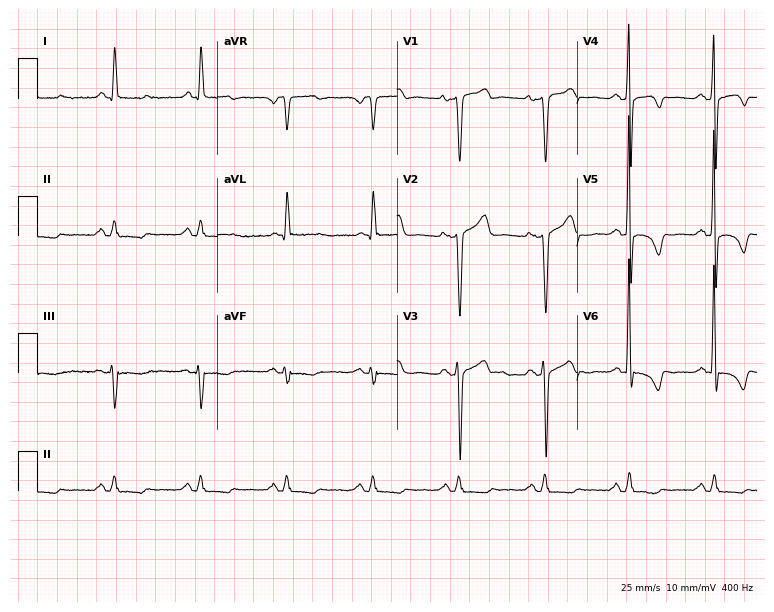
12-lead ECG from a 65-year-old man (7.3-second recording at 400 Hz). No first-degree AV block, right bundle branch block, left bundle branch block, sinus bradycardia, atrial fibrillation or sinus tachycardia recorded for this tracing. Other findings, if any, are not listed.